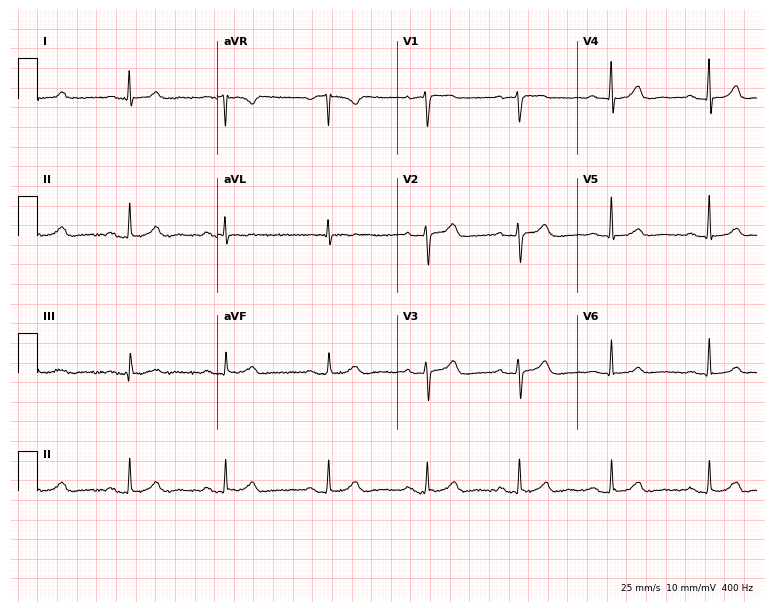
ECG — a 62-year-old woman. Labelled as a normal ECG.